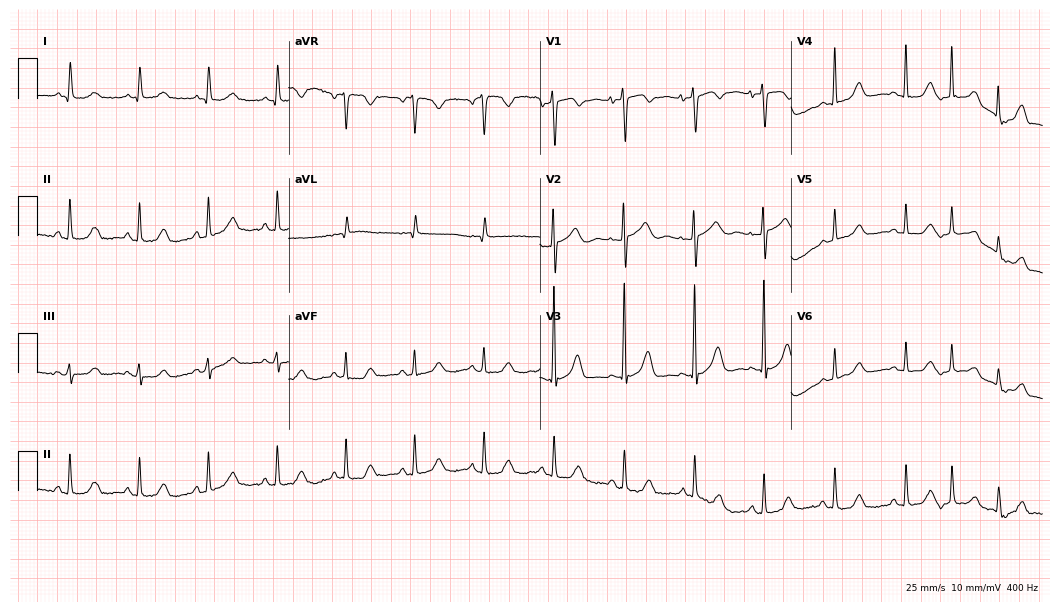
12-lead ECG from a 72-year-old female (10.2-second recording at 400 Hz). No first-degree AV block, right bundle branch block (RBBB), left bundle branch block (LBBB), sinus bradycardia, atrial fibrillation (AF) or sinus tachycardia recorded for this tracing.